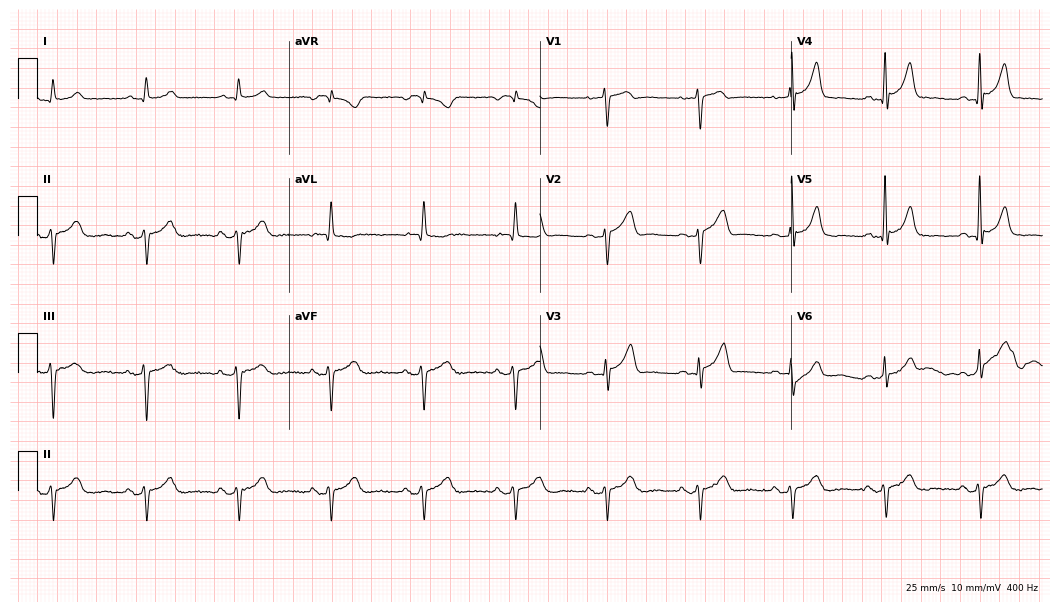
12-lead ECG from a man, 65 years old. No first-degree AV block, right bundle branch block, left bundle branch block, sinus bradycardia, atrial fibrillation or sinus tachycardia recorded for this tracing.